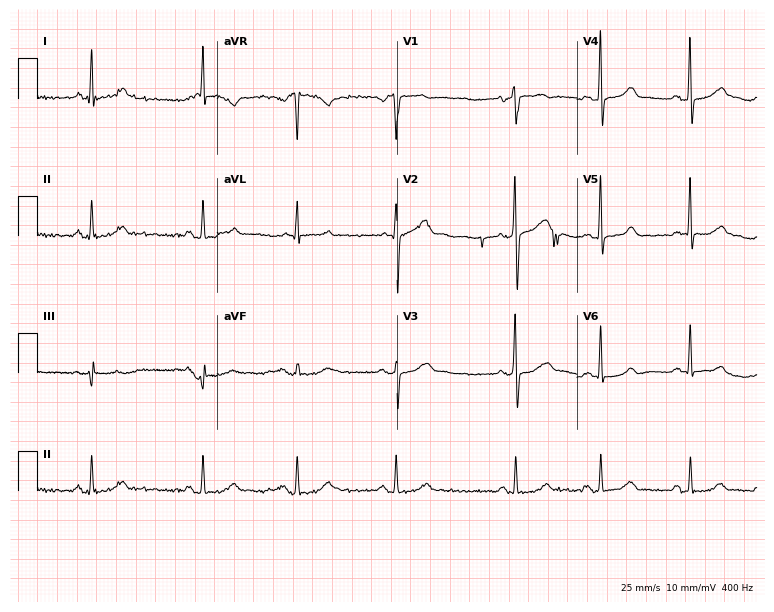
12-lead ECG (7.3-second recording at 400 Hz) from a female, 36 years old. Labelled as a normal ECG.